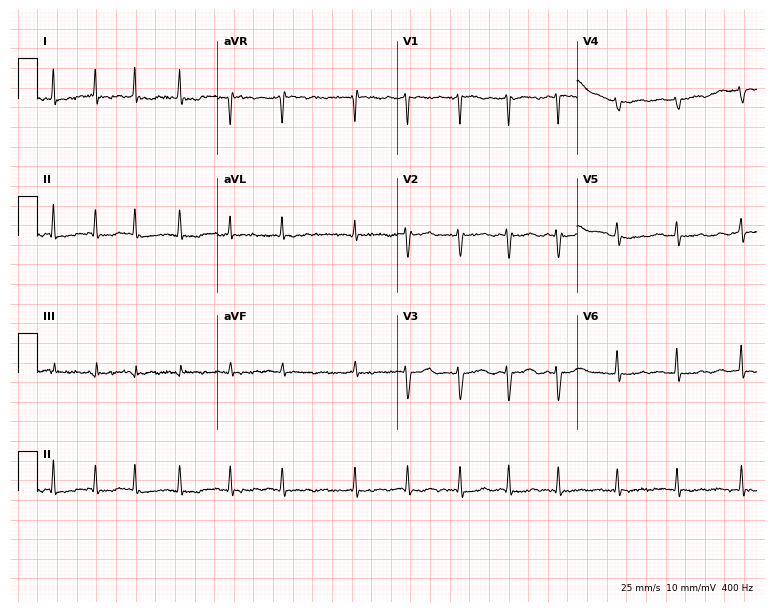
Resting 12-lead electrocardiogram. Patient: an 84-year-old female. The tracing shows atrial fibrillation.